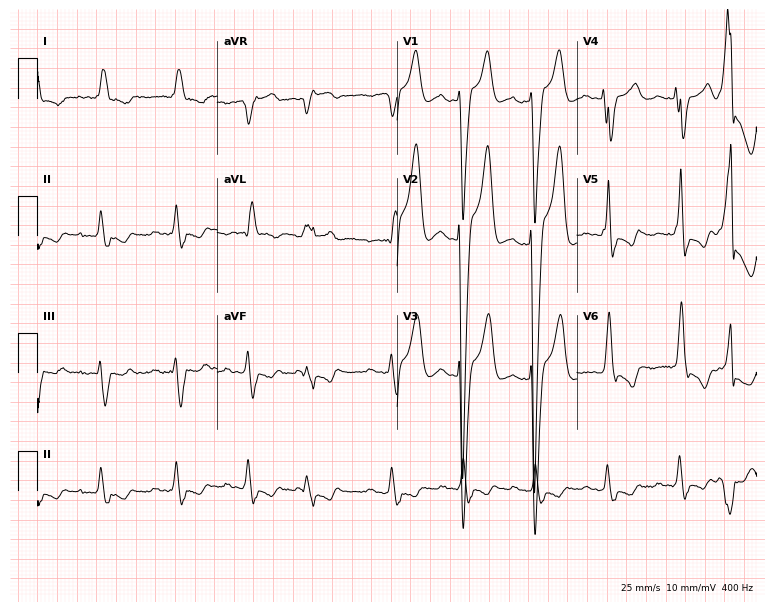
ECG — an 81-year-old man. Findings include left bundle branch block.